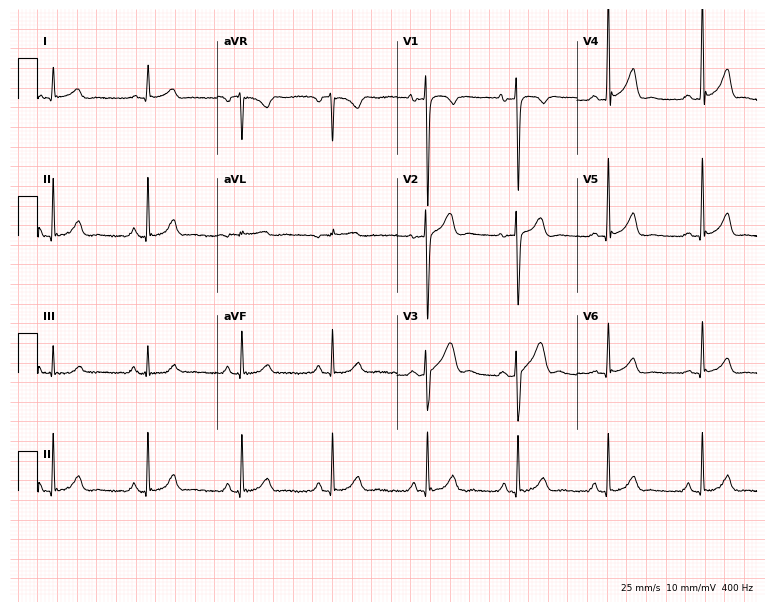
Resting 12-lead electrocardiogram (7.3-second recording at 400 Hz). Patient: a 30-year-old man. None of these six findings is recorded: first-degree AV block, right bundle branch block (RBBB), left bundle branch block (LBBB), sinus bradycardia, atrial fibrillation (AF), sinus tachycardia.